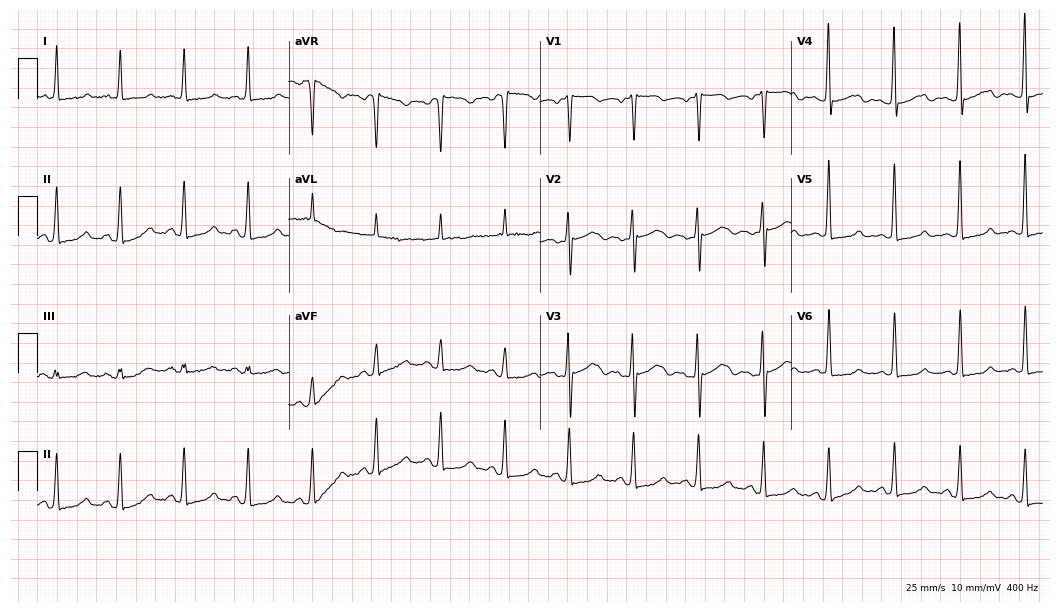
12-lead ECG from a female, 52 years old. Screened for six findings — first-degree AV block, right bundle branch block, left bundle branch block, sinus bradycardia, atrial fibrillation, sinus tachycardia — none is recorded. Other findings, if any, are not listed.